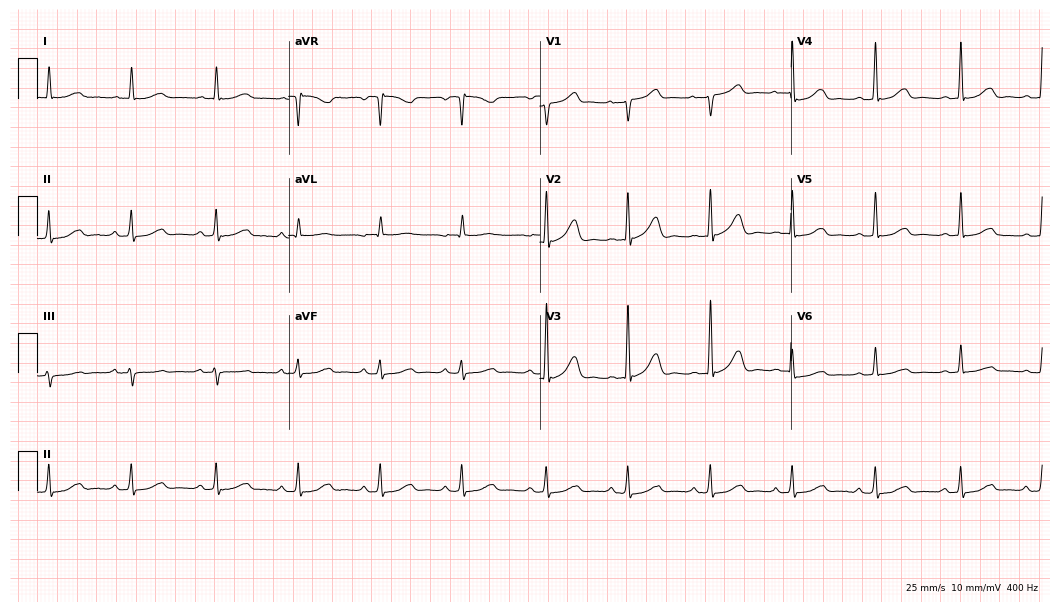
ECG — an 81-year-old female. Screened for six findings — first-degree AV block, right bundle branch block (RBBB), left bundle branch block (LBBB), sinus bradycardia, atrial fibrillation (AF), sinus tachycardia — none is recorded. Findings outside these six are not listed.